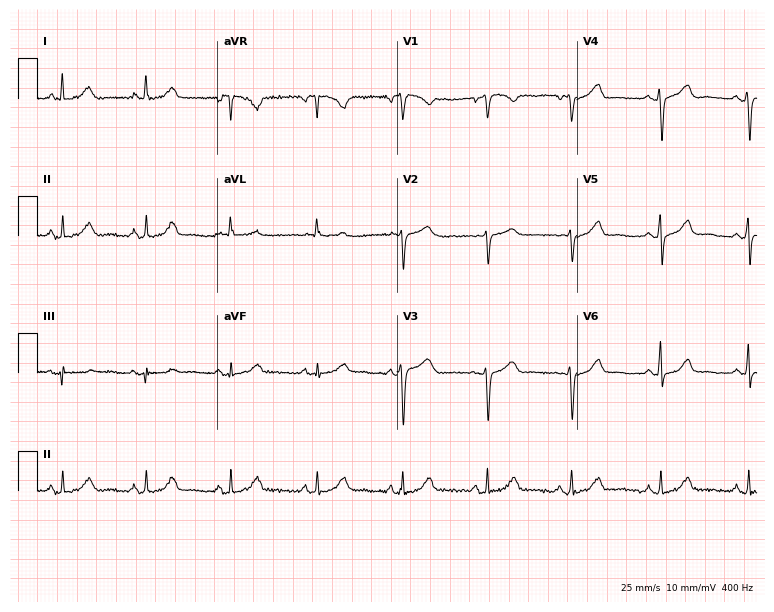
Resting 12-lead electrocardiogram. Patient: a 51-year-old female. None of these six findings is recorded: first-degree AV block, right bundle branch block, left bundle branch block, sinus bradycardia, atrial fibrillation, sinus tachycardia.